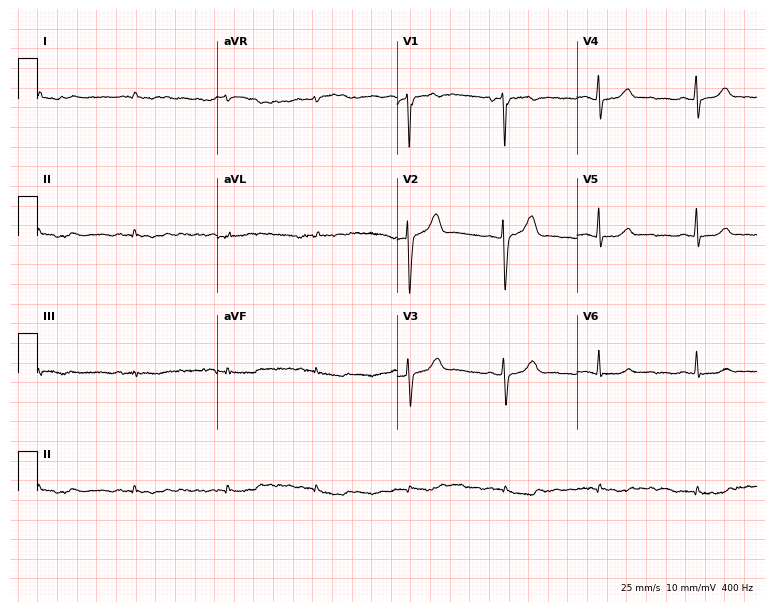
ECG — a female patient, 56 years old. Screened for six findings — first-degree AV block, right bundle branch block, left bundle branch block, sinus bradycardia, atrial fibrillation, sinus tachycardia — none is recorded. Only these six findings were labelled.